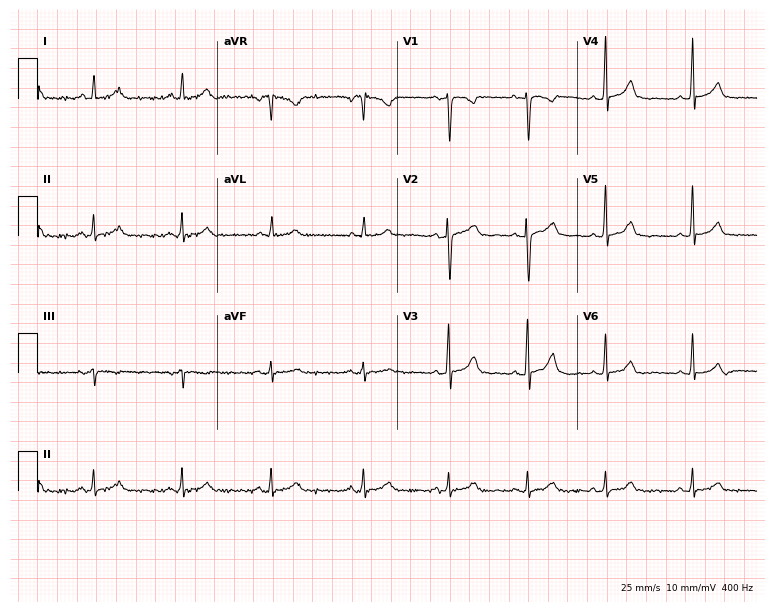
12-lead ECG (7.3-second recording at 400 Hz) from a 39-year-old female patient. Labelled as a normal ECG.